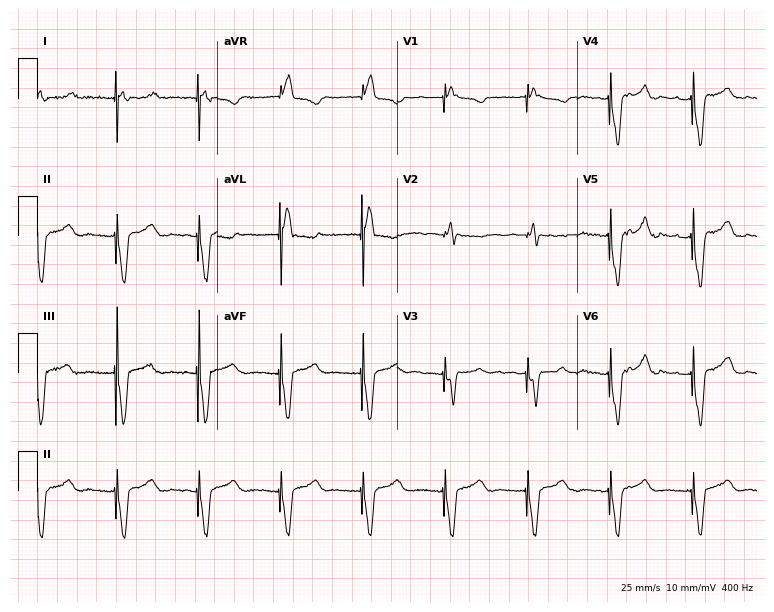
Electrocardiogram, a 71-year-old female patient. Of the six screened findings (first-degree AV block, right bundle branch block, left bundle branch block, sinus bradycardia, atrial fibrillation, sinus tachycardia), none is recorded. Other findings, if any, are not listed.